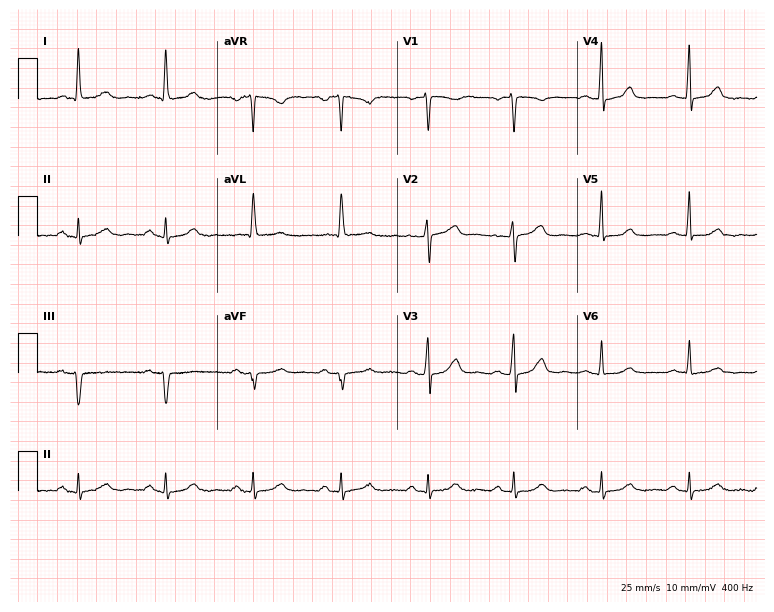
12-lead ECG from a female patient, 69 years old (7.3-second recording at 400 Hz). Recorded interpretation: within normal limits.